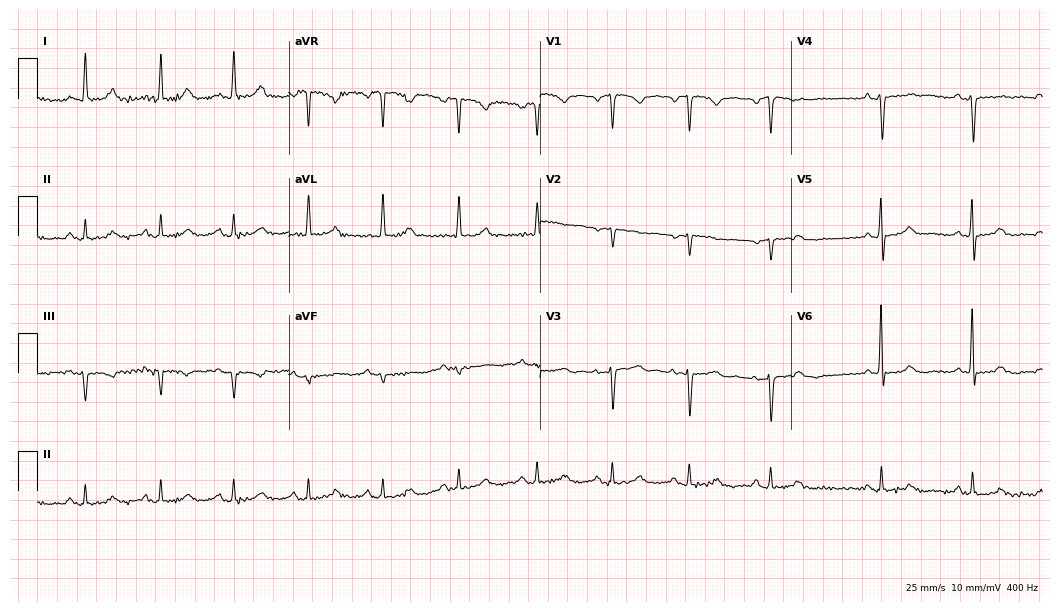
Resting 12-lead electrocardiogram (10.2-second recording at 400 Hz). Patient: a female, 66 years old. Read as a normal ECG.